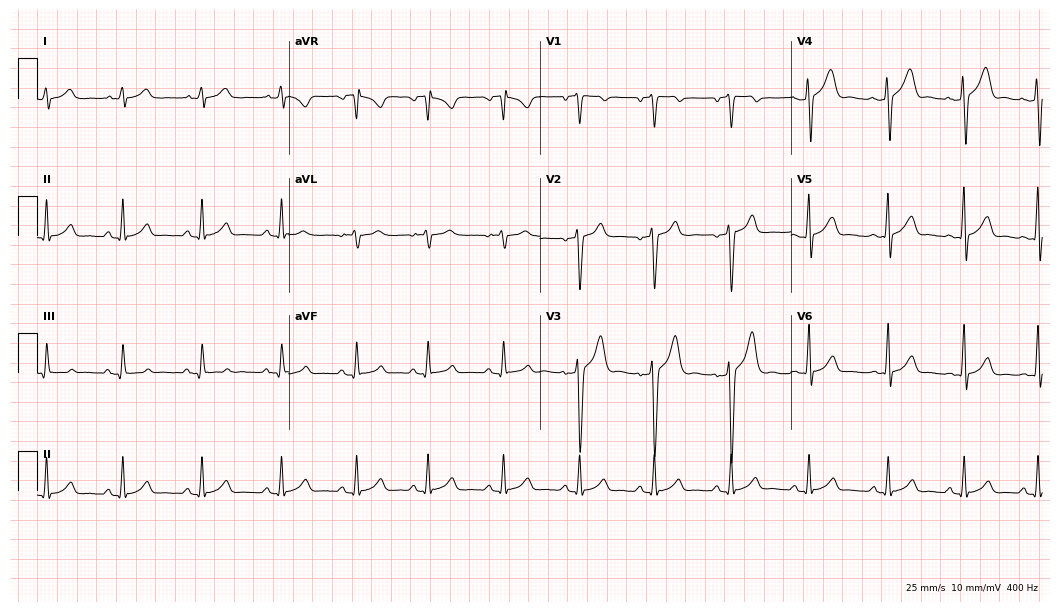
Standard 12-lead ECG recorded from a male, 27 years old. Read as a normal ECG.